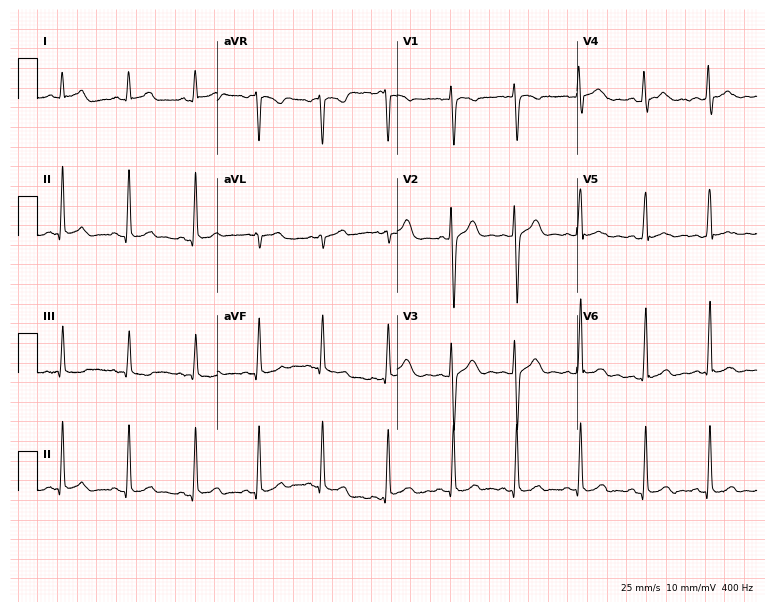
ECG — a female patient, 29 years old. Screened for six findings — first-degree AV block, right bundle branch block, left bundle branch block, sinus bradycardia, atrial fibrillation, sinus tachycardia — none is recorded. Only these six findings were labelled.